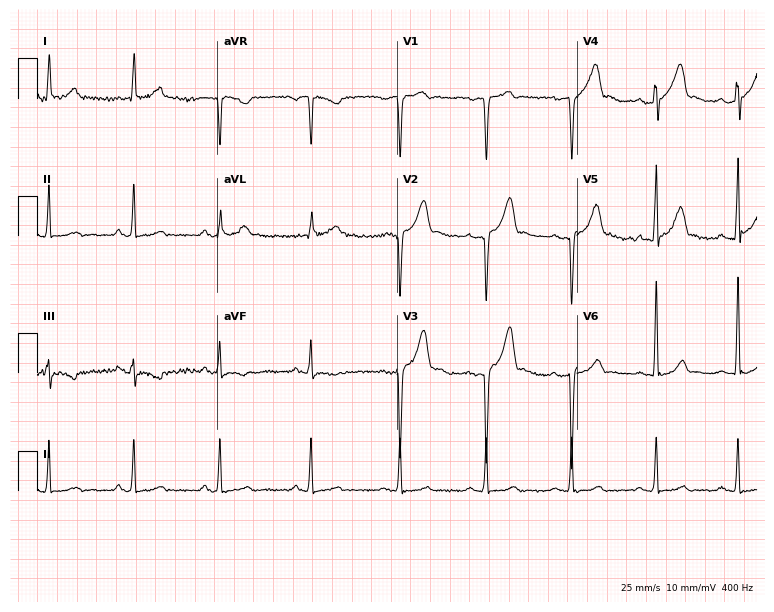
Resting 12-lead electrocardiogram (7.3-second recording at 400 Hz). Patient: a 31-year-old man. Read as a normal ECG.